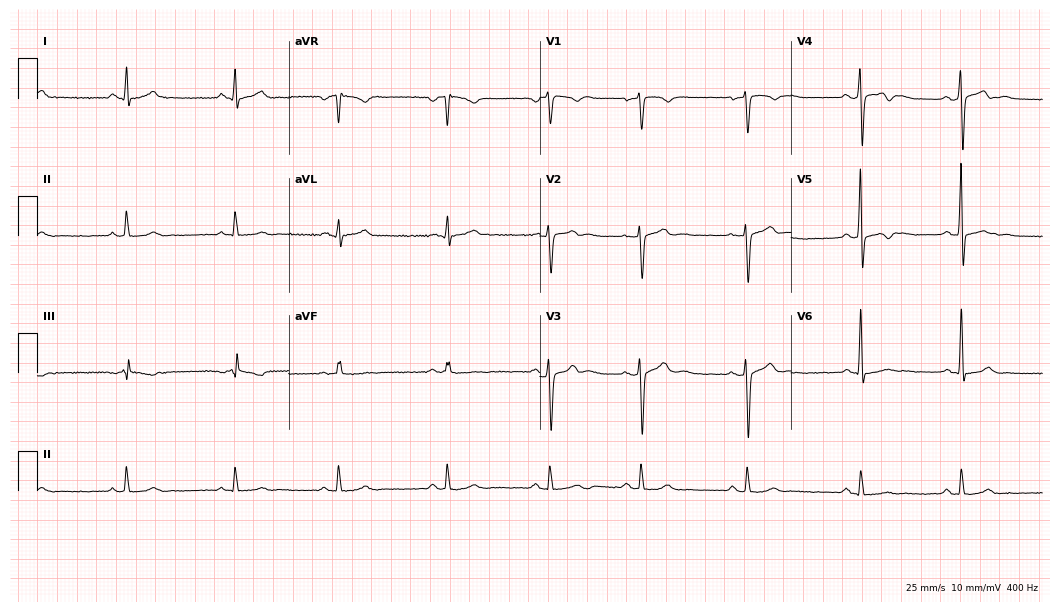
Standard 12-lead ECG recorded from a 36-year-old man (10.2-second recording at 400 Hz). Read as a normal ECG.